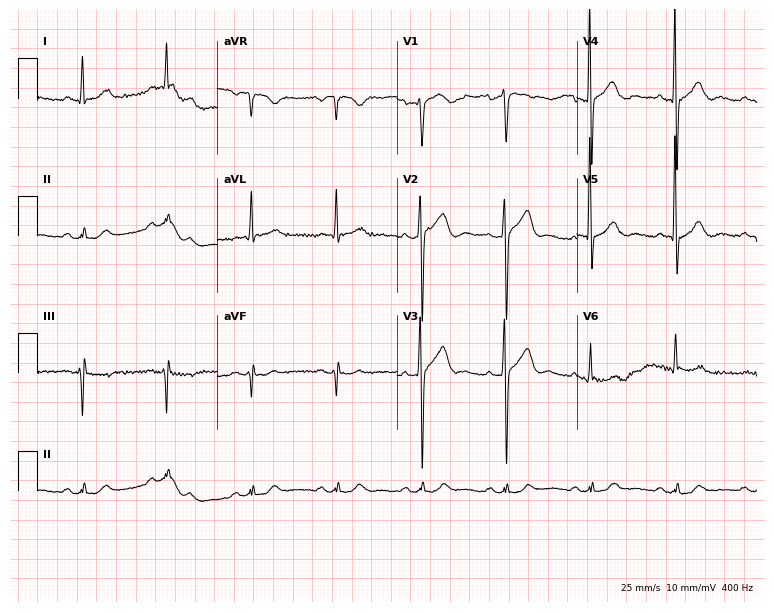
ECG — a 72-year-old male patient. Labelled as a normal ECG.